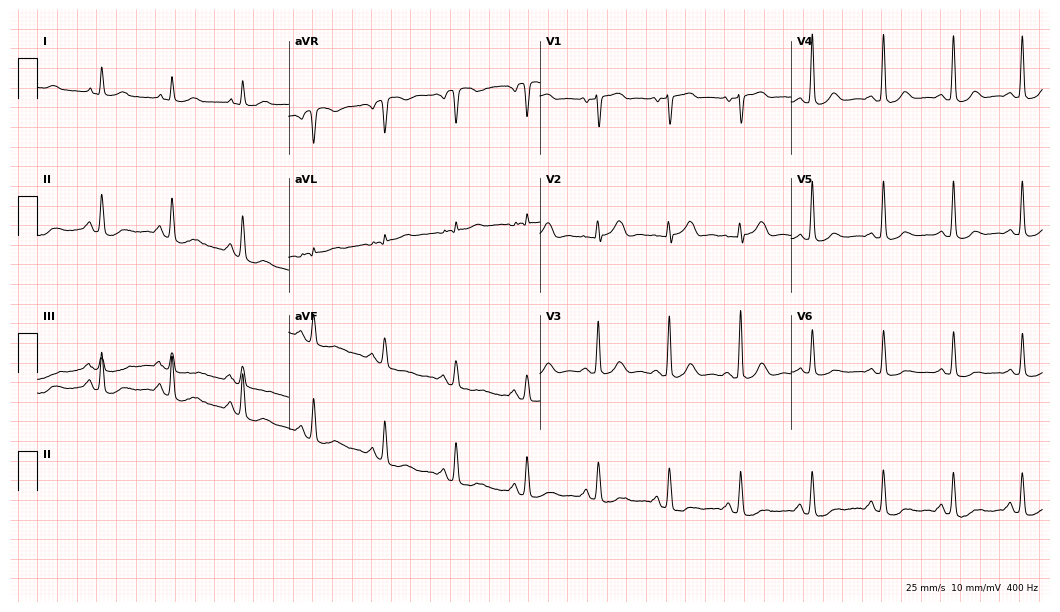
Resting 12-lead electrocardiogram (10.2-second recording at 400 Hz). Patient: a 73-year-old woman. Read as a normal ECG.